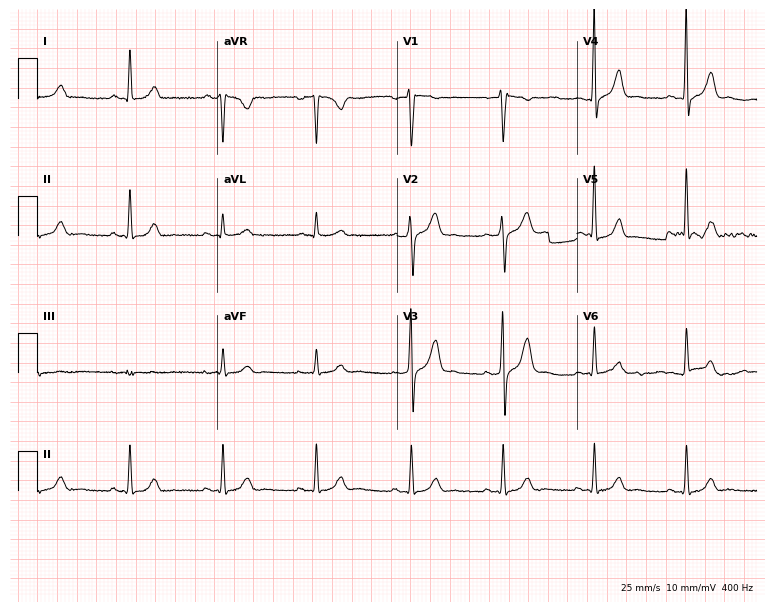
Electrocardiogram (7.3-second recording at 400 Hz), a man, 51 years old. Overall reading on record: normal ECG.